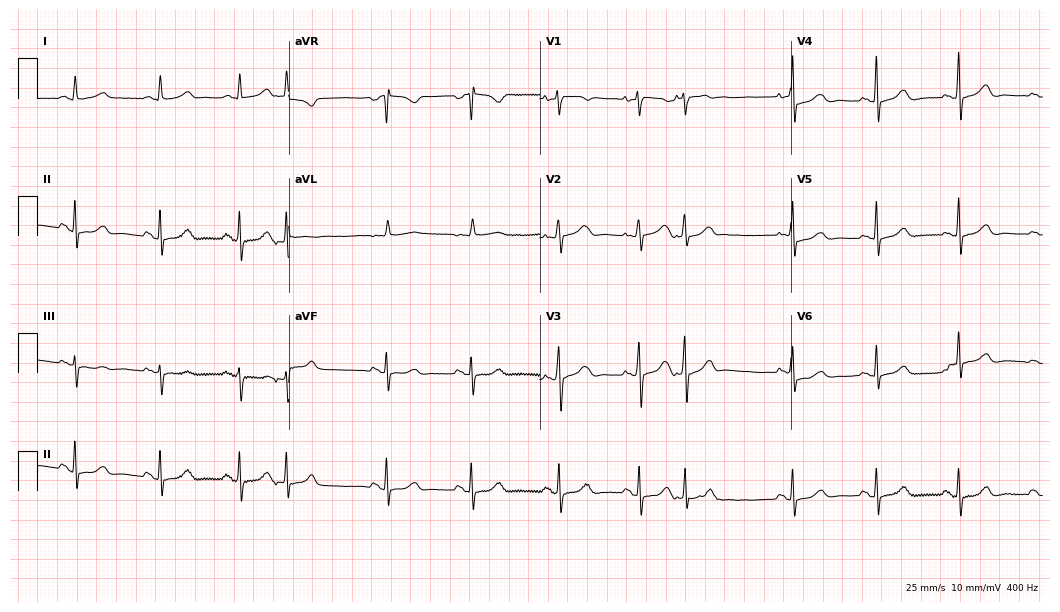
Electrocardiogram, an 82-year-old woman. Overall reading on record: normal ECG.